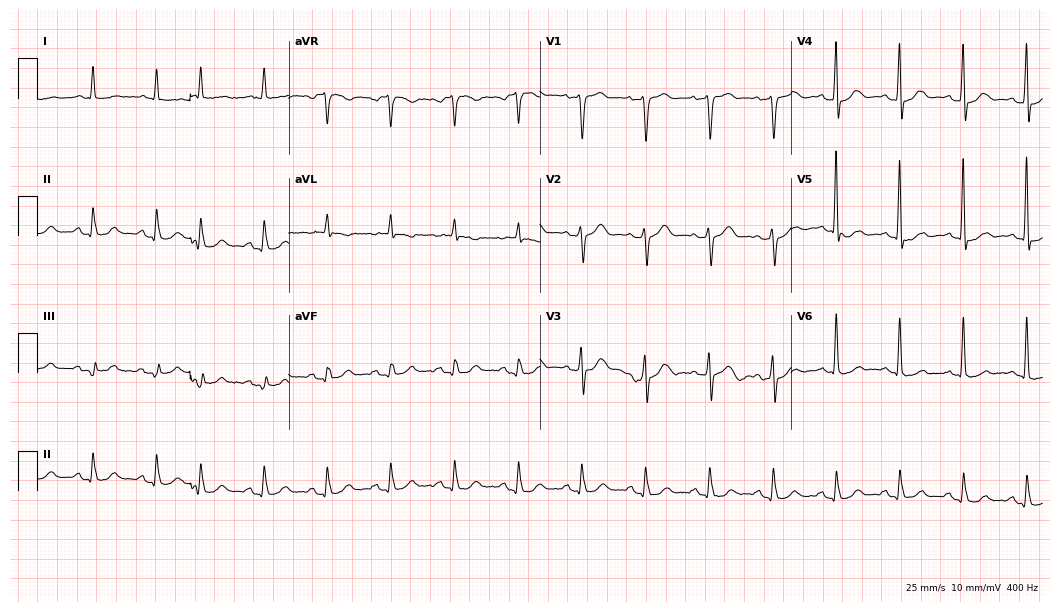
ECG (10.2-second recording at 400 Hz) — a man, 75 years old. Labelled as a normal ECG.